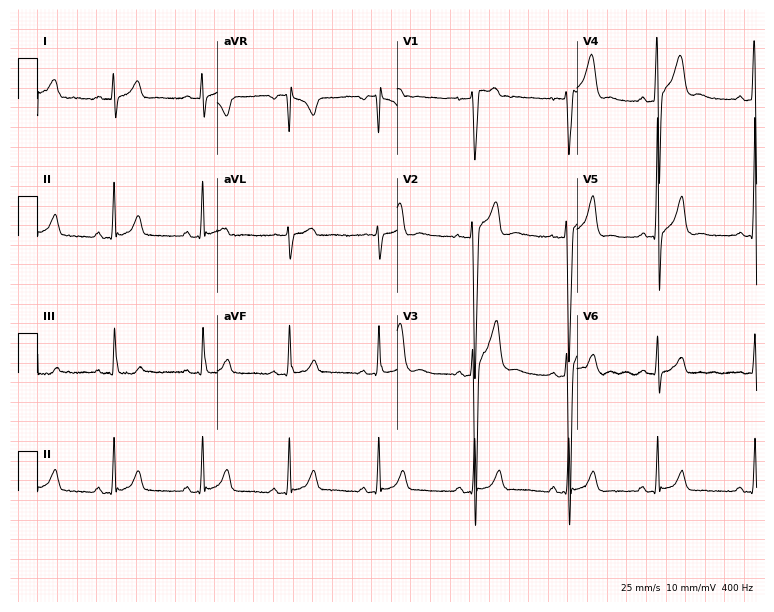
12-lead ECG from a 20-year-old male. Screened for six findings — first-degree AV block, right bundle branch block, left bundle branch block, sinus bradycardia, atrial fibrillation, sinus tachycardia — none is recorded.